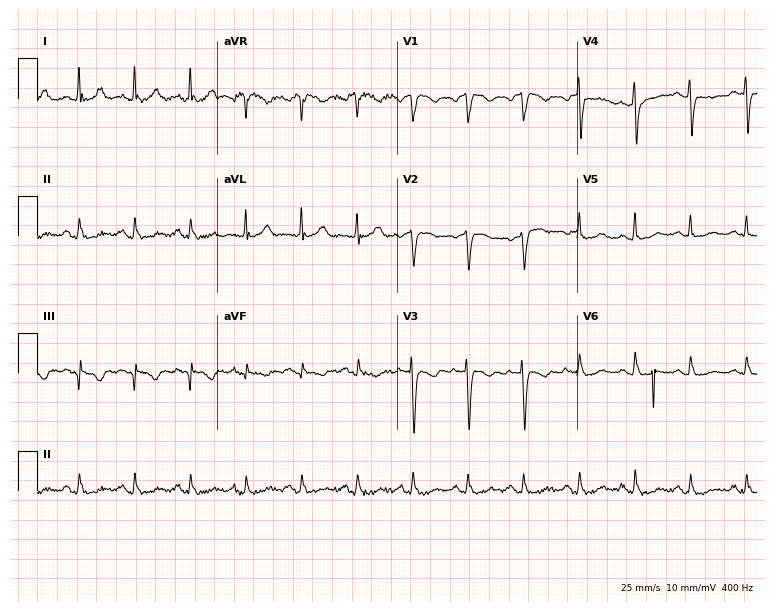
12-lead ECG from a female patient, 81 years old. Screened for six findings — first-degree AV block, right bundle branch block, left bundle branch block, sinus bradycardia, atrial fibrillation, sinus tachycardia — none is recorded. Other findings, if any, are not listed.